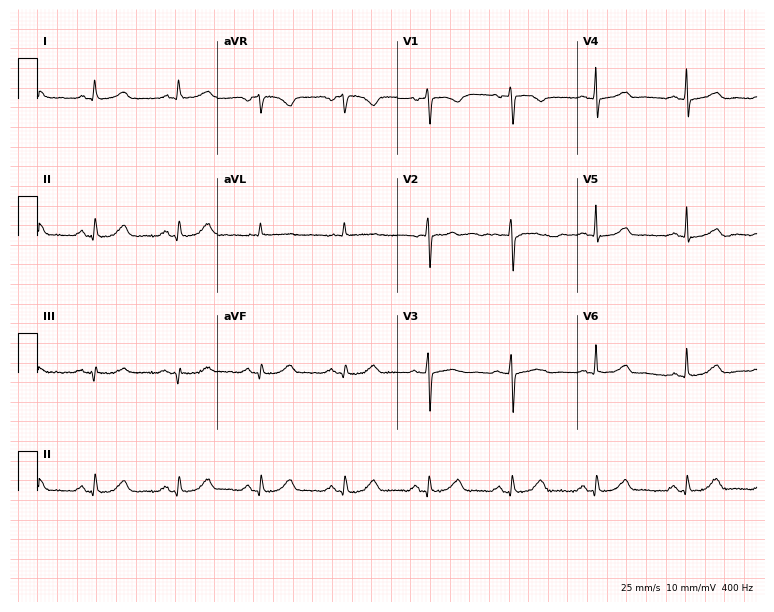
12-lead ECG from a 61-year-old female. Recorded interpretation: within normal limits.